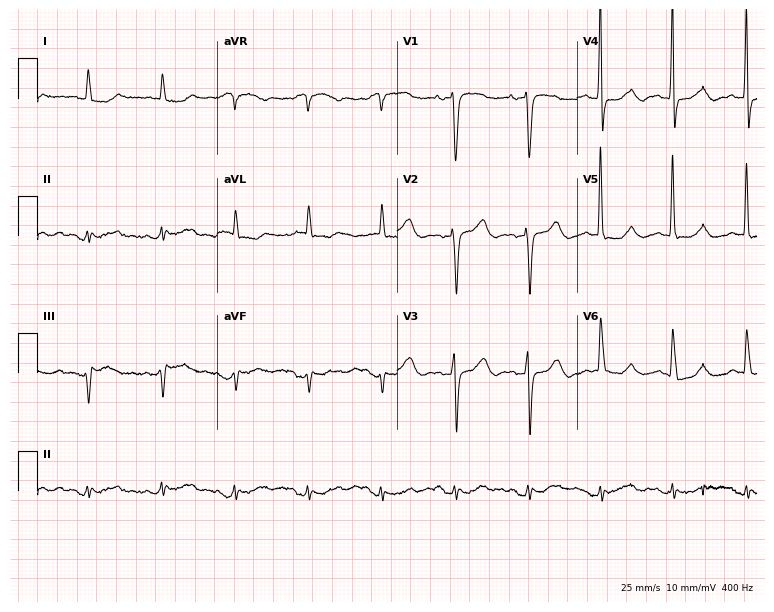
Standard 12-lead ECG recorded from a 73-year-old female patient. None of these six findings is recorded: first-degree AV block, right bundle branch block, left bundle branch block, sinus bradycardia, atrial fibrillation, sinus tachycardia.